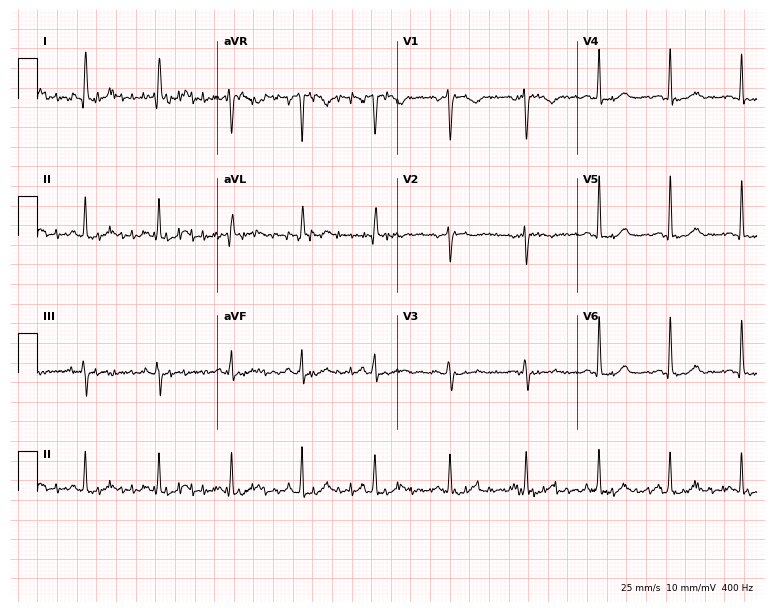
12-lead ECG from a 48-year-old female patient (7.3-second recording at 400 Hz). No first-degree AV block, right bundle branch block (RBBB), left bundle branch block (LBBB), sinus bradycardia, atrial fibrillation (AF) or sinus tachycardia recorded for this tracing. Findings outside these six are not listed.